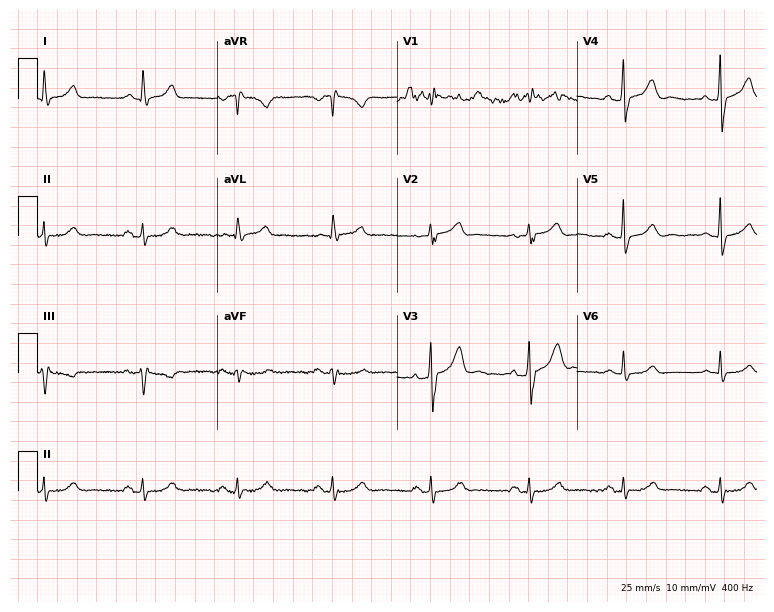
Standard 12-lead ECG recorded from a female, 70 years old. None of these six findings is recorded: first-degree AV block, right bundle branch block (RBBB), left bundle branch block (LBBB), sinus bradycardia, atrial fibrillation (AF), sinus tachycardia.